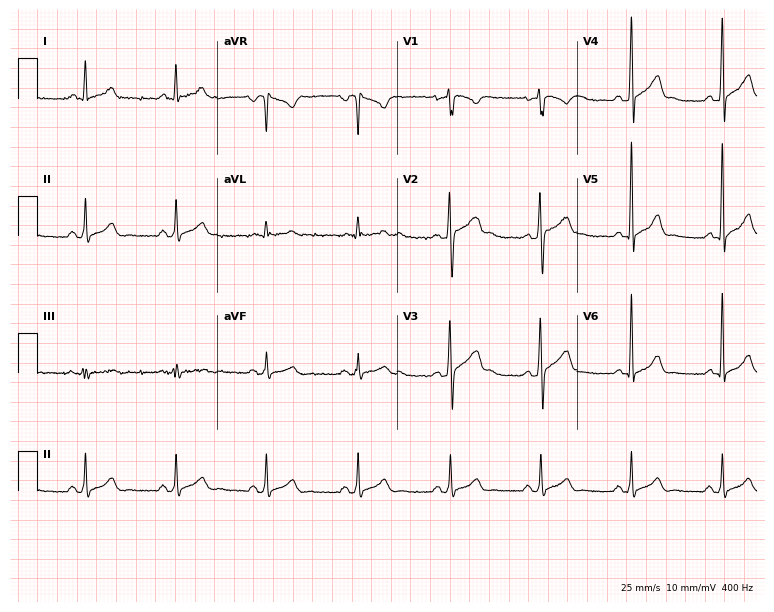
12-lead ECG from a male, 31 years old (7.3-second recording at 400 Hz). Recorded interpretation: within normal limits.